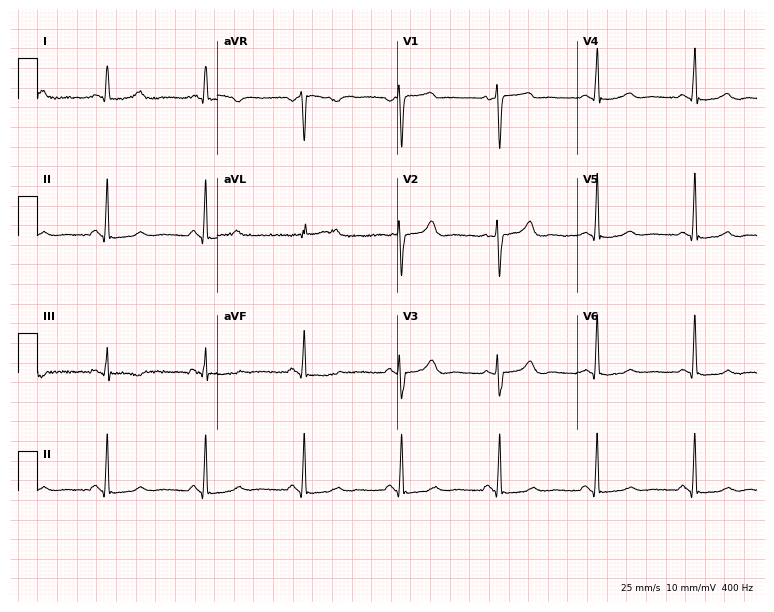
Standard 12-lead ECG recorded from a female, 45 years old (7.3-second recording at 400 Hz). Read as a normal ECG.